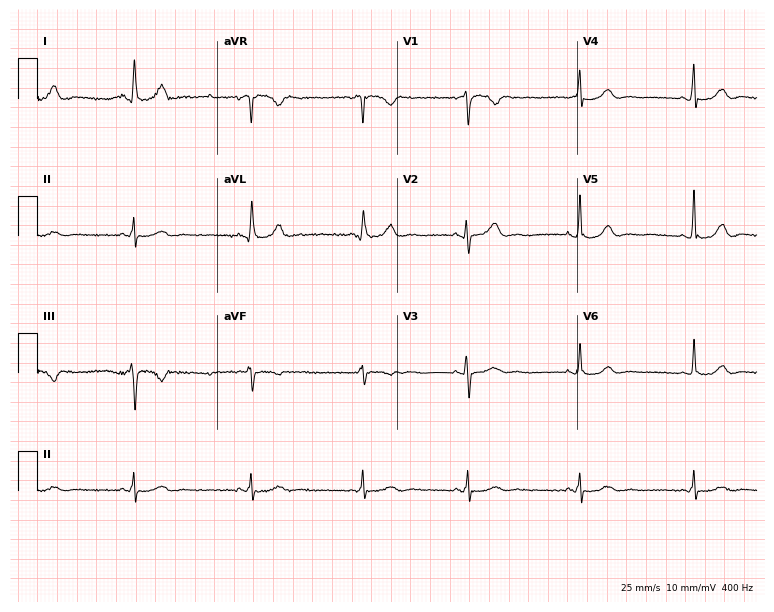
12-lead ECG from a female, 54 years old. Recorded interpretation: within normal limits.